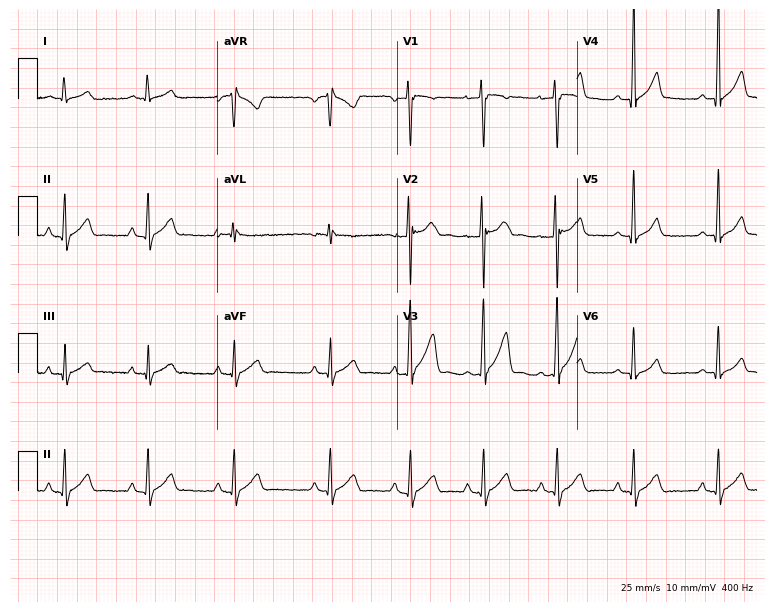
12-lead ECG (7.3-second recording at 400 Hz) from a 25-year-old male patient. Screened for six findings — first-degree AV block, right bundle branch block, left bundle branch block, sinus bradycardia, atrial fibrillation, sinus tachycardia — none is recorded.